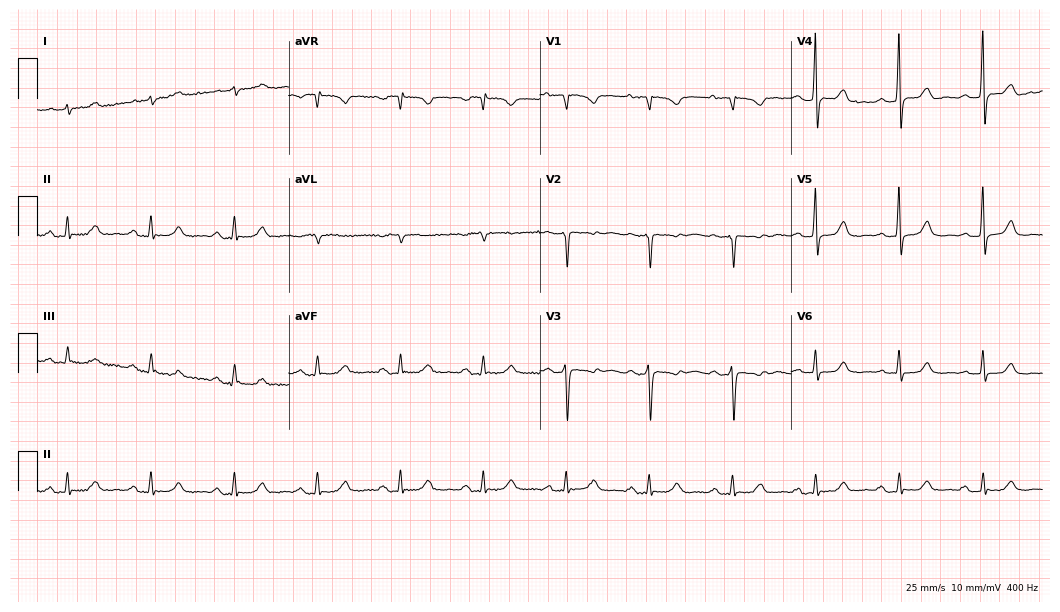
Resting 12-lead electrocardiogram. Patient: a female, 74 years old. None of these six findings is recorded: first-degree AV block, right bundle branch block, left bundle branch block, sinus bradycardia, atrial fibrillation, sinus tachycardia.